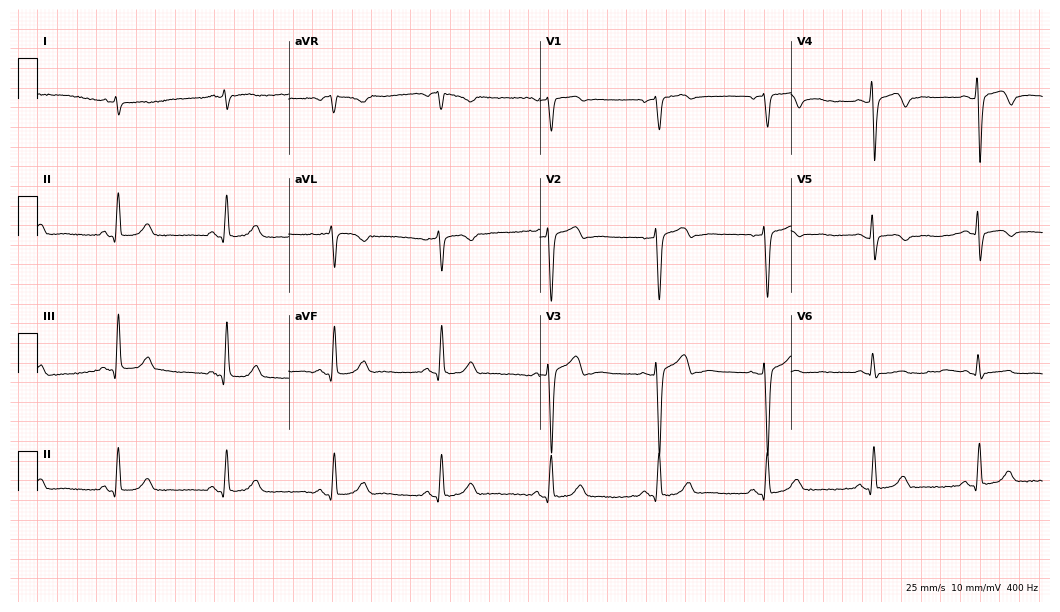
Standard 12-lead ECG recorded from a male patient, 78 years old (10.2-second recording at 400 Hz). Read as a normal ECG.